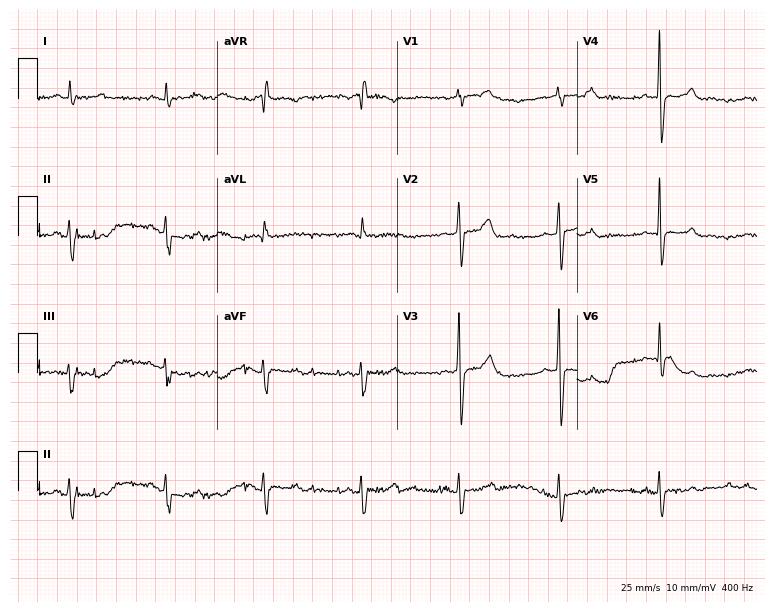
12-lead ECG from a male, 69 years old. Screened for six findings — first-degree AV block, right bundle branch block, left bundle branch block, sinus bradycardia, atrial fibrillation, sinus tachycardia — none is recorded. Only these six findings were labelled.